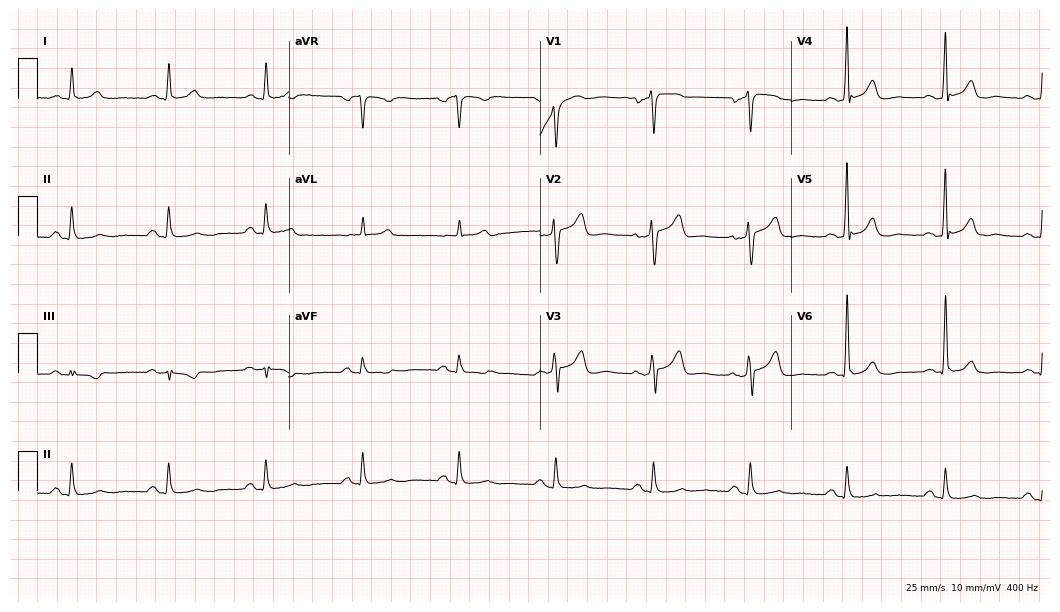
Standard 12-lead ECG recorded from a 67-year-old man (10.2-second recording at 400 Hz). None of these six findings is recorded: first-degree AV block, right bundle branch block, left bundle branch block, sinus bradycardia, atrial fibrillation, sinus tachycardia.